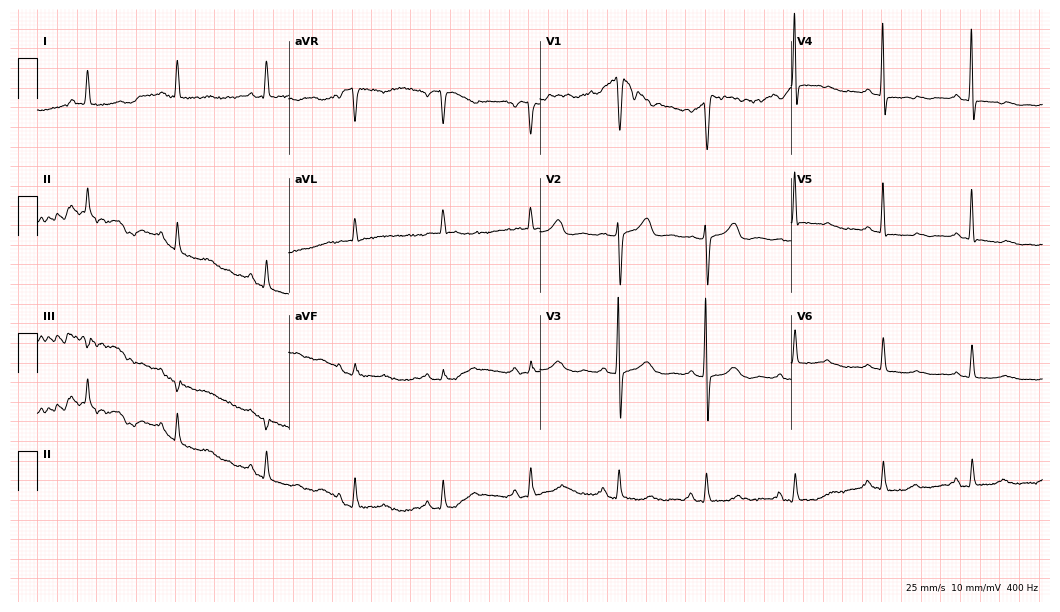
Resting 12-lead electrocardiogram (10.2-second recording at 400 Hz). Patient: a woman, 67 years old. None of these six findings is recorded: first-degree AV block, right bundle branch block, left bundle branch block, sinus bradycardia, atrial fibrillation, sinus tachycardia. Only these six findings were labelled.